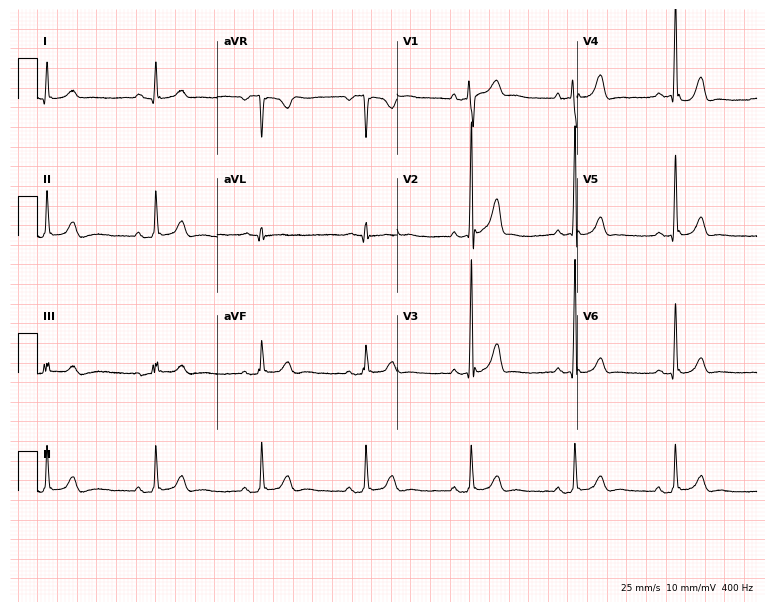
Electrocardiogram (7.3-second recording at 400 Hz), a 35-year-old male patient. Overall reading on record: normal ECG.